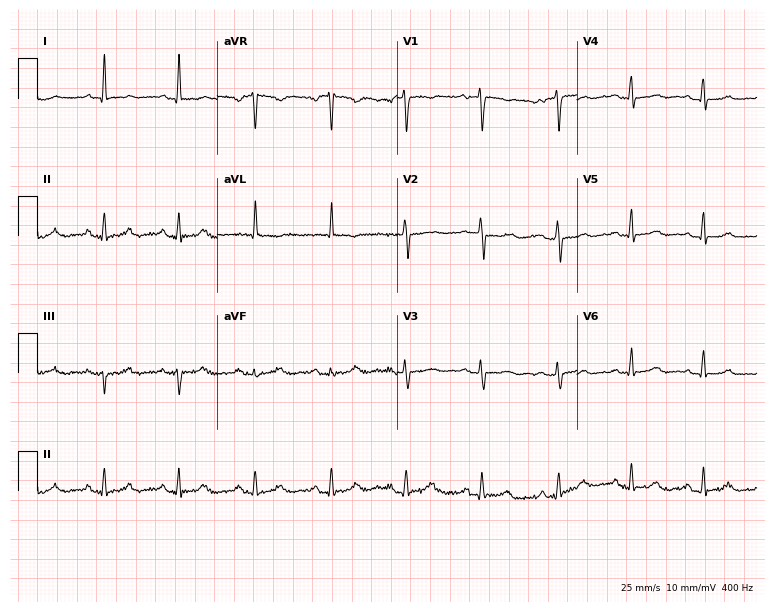
Resting 12-lead electrocardiogram. Patient: a woman, 47 years old. None of these six findings is recorded: first-degree AV block, right bundle branch block, left bundle branch block, sinus bradycardia, atrial fibrillation, sinus tachycardia. Findings outside these six are not listed.